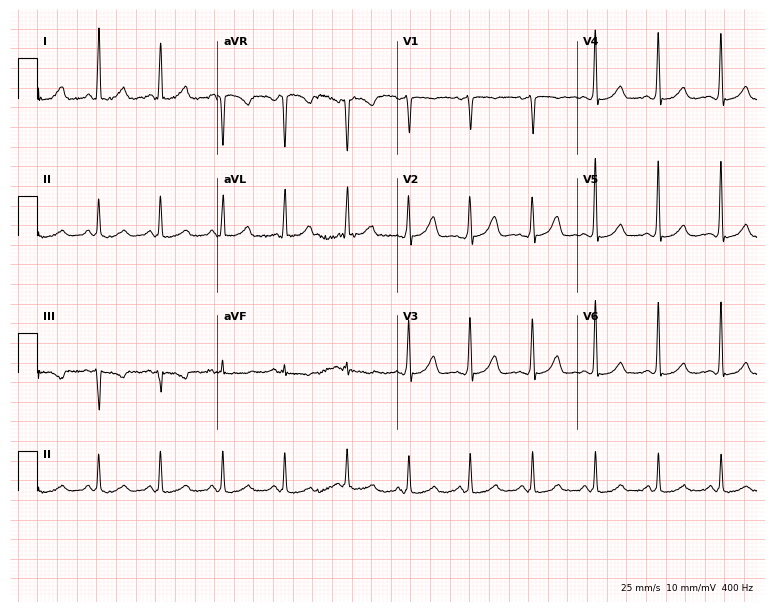
Standard 12-lead ECG recorded from a 49-year-old female. Read as a normal ECG.